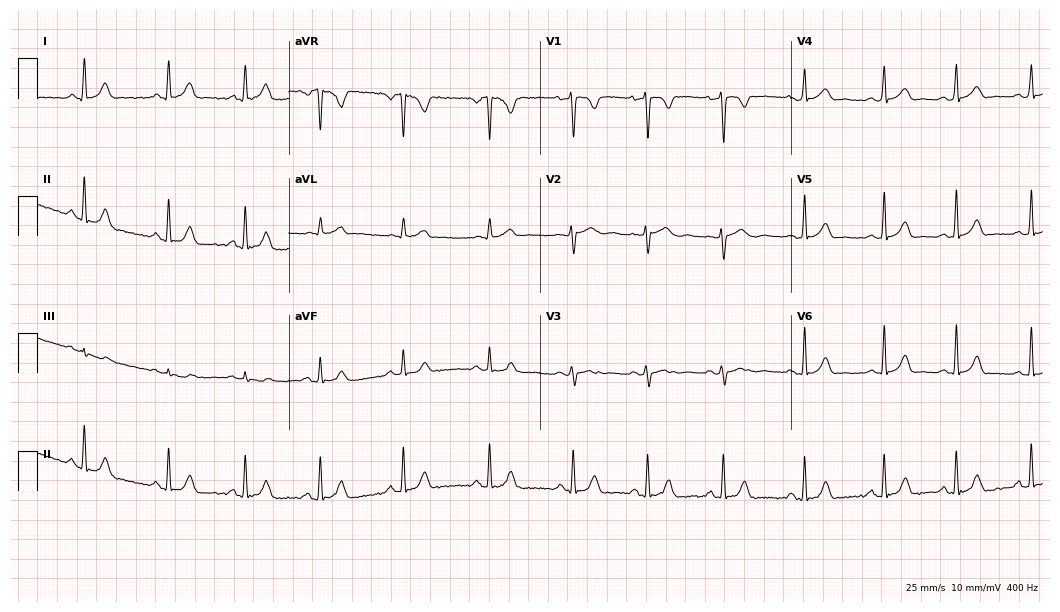
ECG (10.2-second recording at 400 Hz) — a 19-year-old female patient. Labelled as a normal ECG.